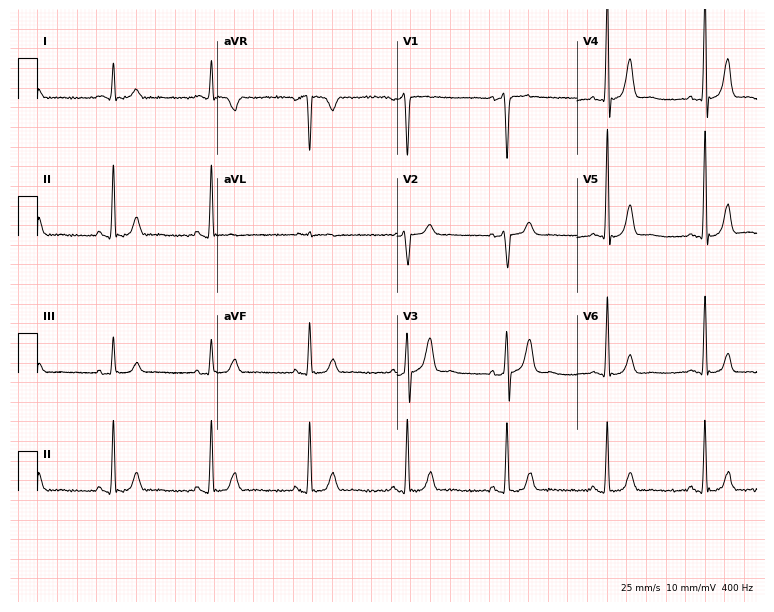
ECG (7.3-second recording at 400 Hz) — a man, 57 years old. Labelled as a normal ECG.